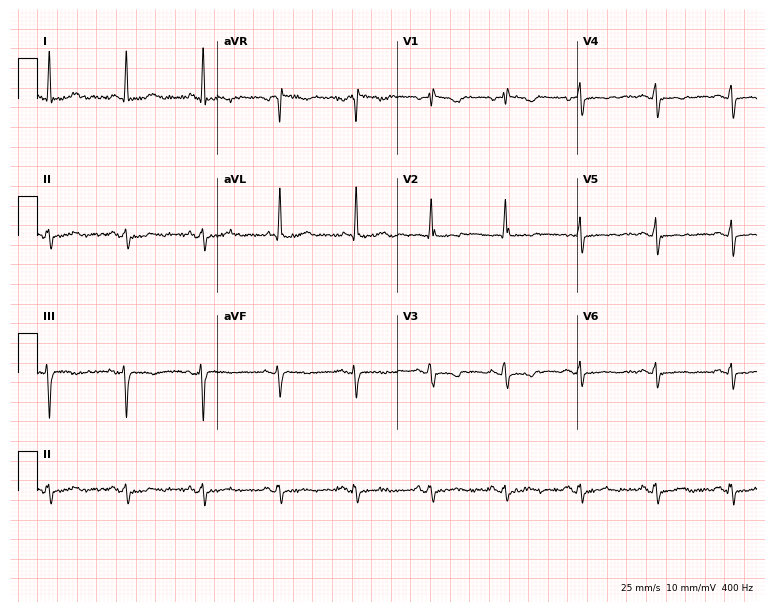
ECG — a 69-year-old female patient. Screened for six findings — first-degree AV block, right bundle branch block (RBBB), left bundle branch block (LBBB), sinus bradycardia, atrial fibrillation (AF), sinus tachycardia — none is recorded. Findings outside these six are not listed.